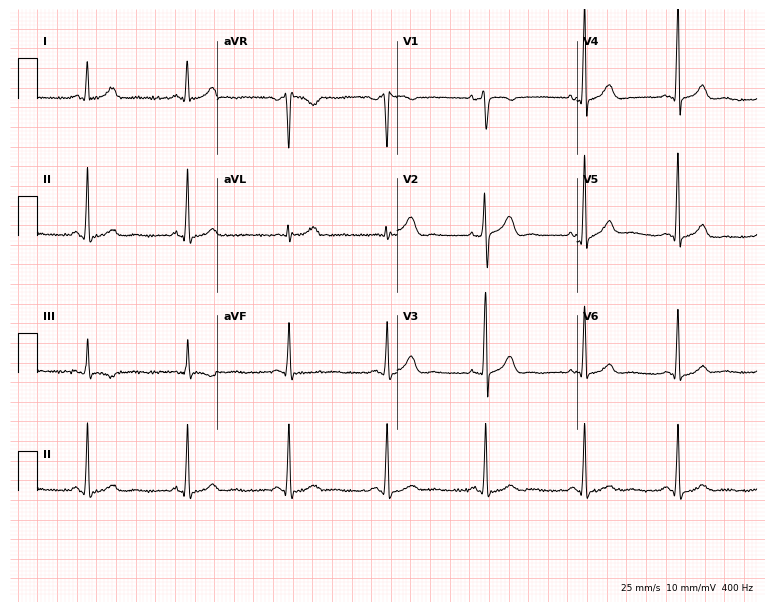
Electrocardiogram (7.3-second recording at 400 Hz), a 54-year-old woman. Of the six screened findings (first-degree AV block, right bundle branch block, left bundle branch block, sinus bradycardia, atrial fibrillation, sinus tachycardia), none is recorded.